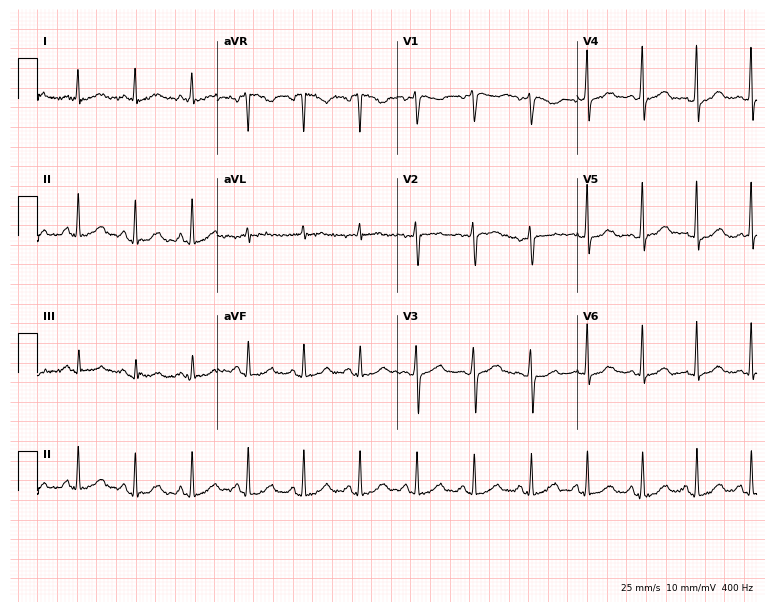
12-lead ECG from a male, 47 years old. Shows sinus tachycardia (a sinus rate of 100 beats per minute or more).